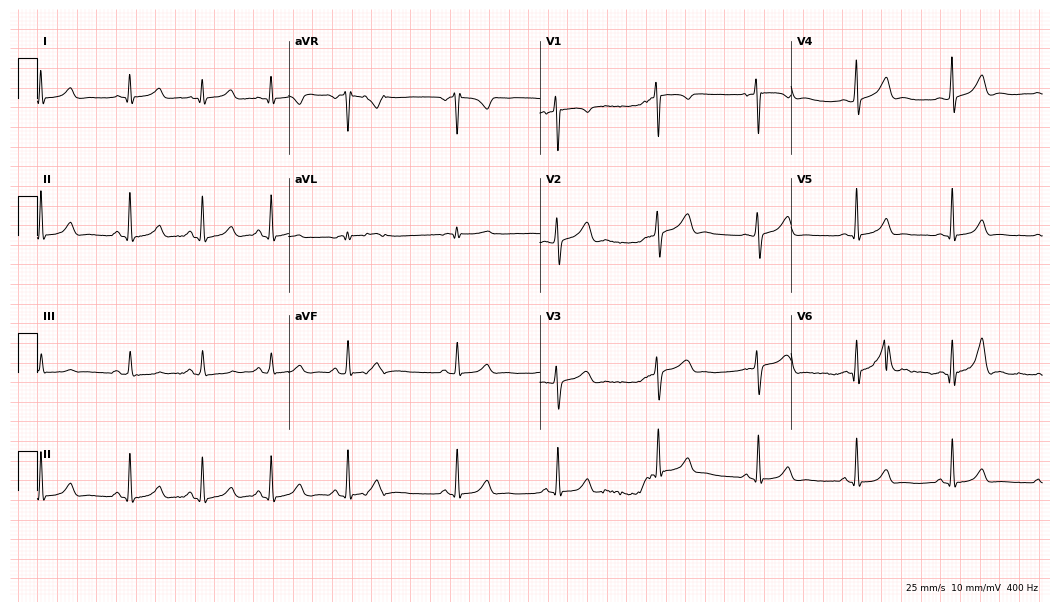
ECG — a female, 26 years old. Labelled as a normal ECG.